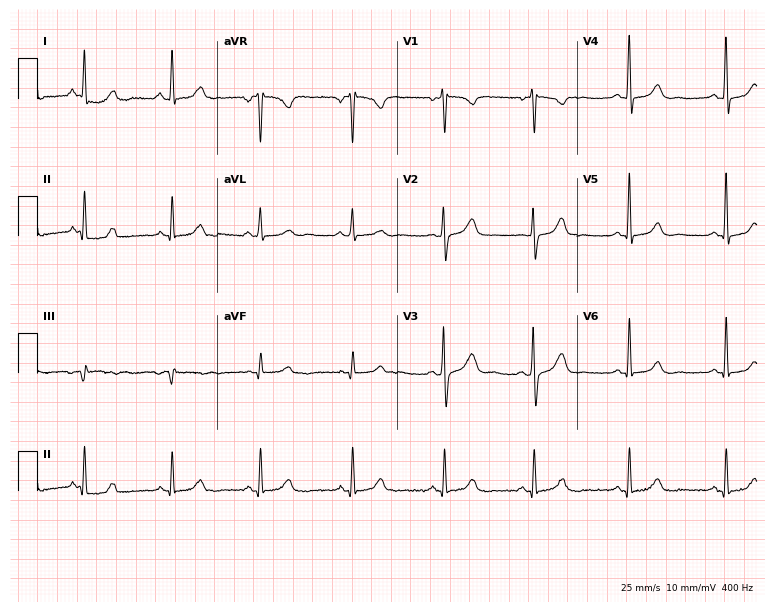
12-lead ECG from a female, 58 years old. Recorded interpretation: within normal limits.